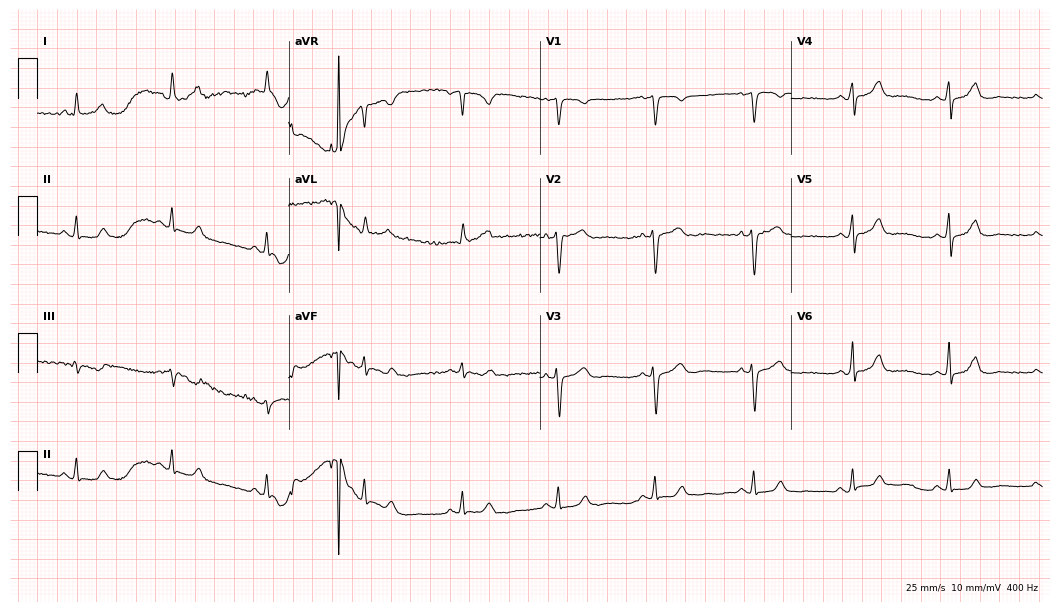
Electrocardiogram, a 48-year-old female. Overall reading on record: normal ECG.